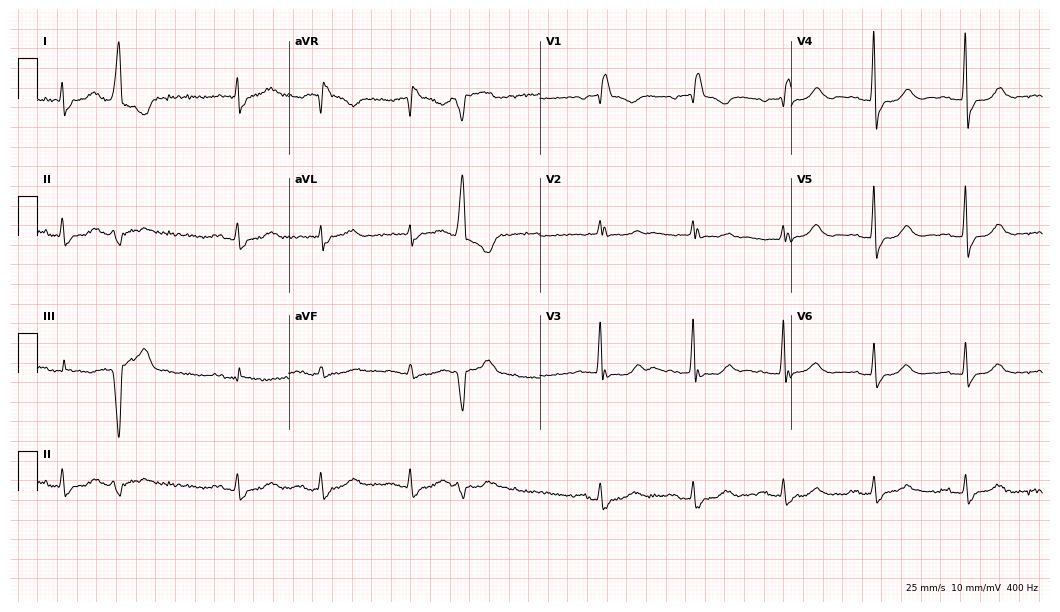
ECG — an 81-year-old woman. Findings include first-degree AV block, right bundle branch block.